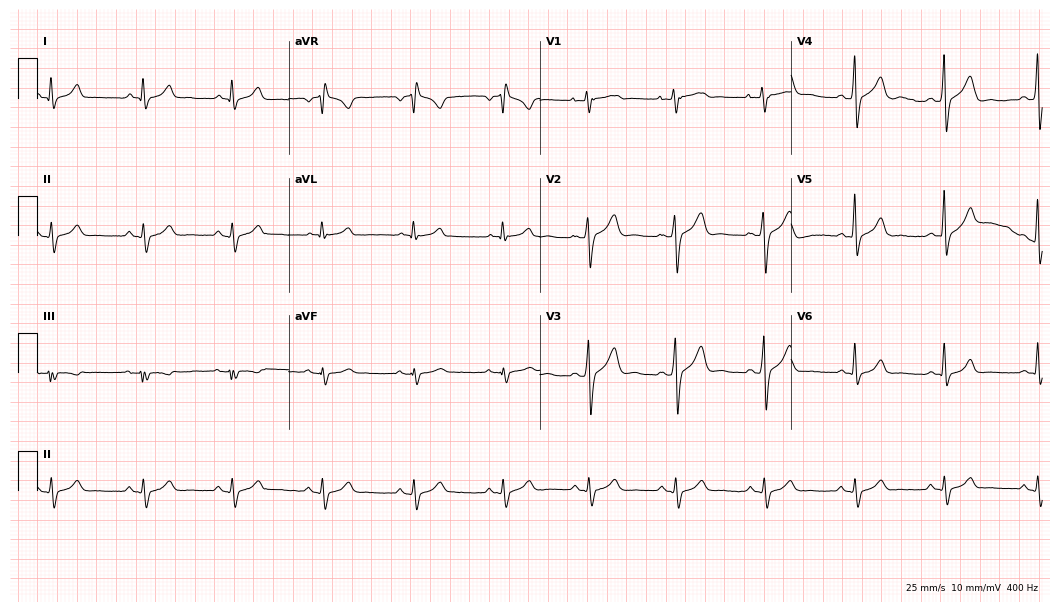
12-lead ECG from a 39-year-old male. No first-degree AV block, right bundle branch block, left bundle branch block, sinus bradycardia, atrial fibrillation or sinus tachycardia recorded for this tracing.